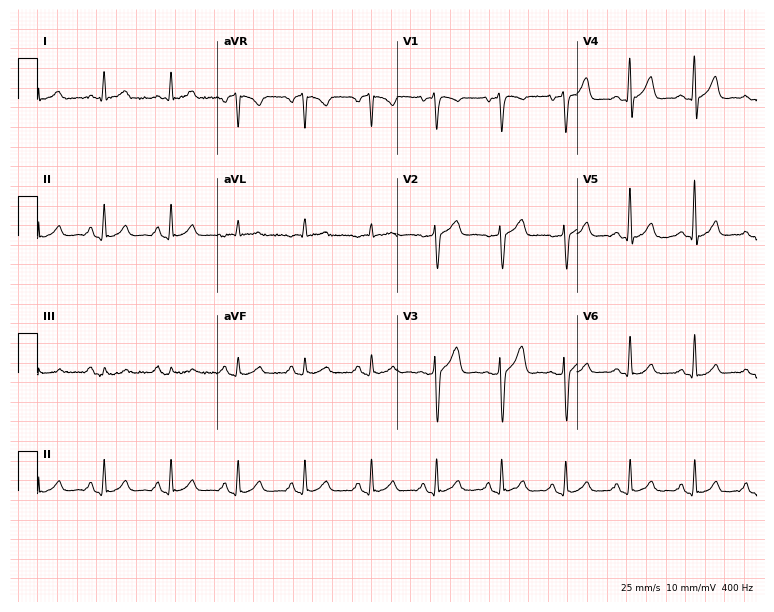
ECG (7.3-second recording at 400 Hz) — a male patient, 65 years old. Labelled as a normal ECG.